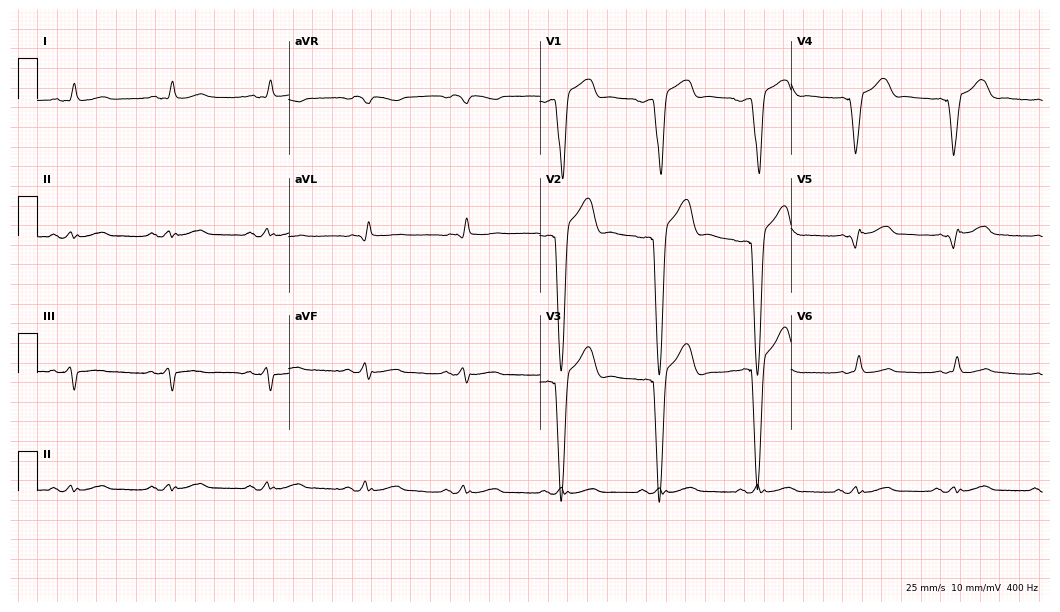
Electrocardiogram (10.2-second recording at 400 Hz), a male patient, 55 years old. Of the six screened findings (first-degree AV block, right bundle branch block (RBBB), left bundle branch block (LBBB), sinus bradycardia, atrial fibrillation (AF), sinus tachycardia), none is recorded.